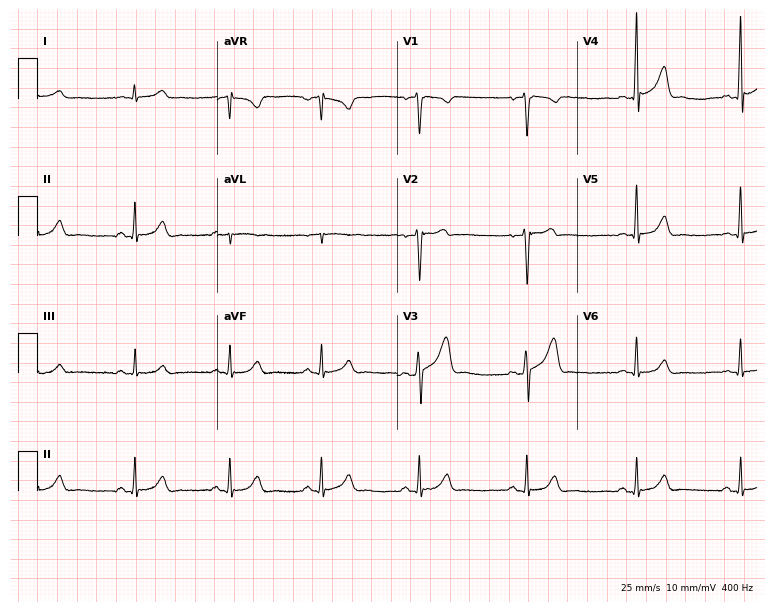
Standard 12-lead ECG recorded from a 40-year-old male patient (7.3-second recording at 400 Hz). None of these six findings is recorded: first-degree AV block, right bundle branch block (RBBB), left bundle branch block (LBBB), sinus bradycardia, atrial fibrillation (AF), sinus tachycardia.